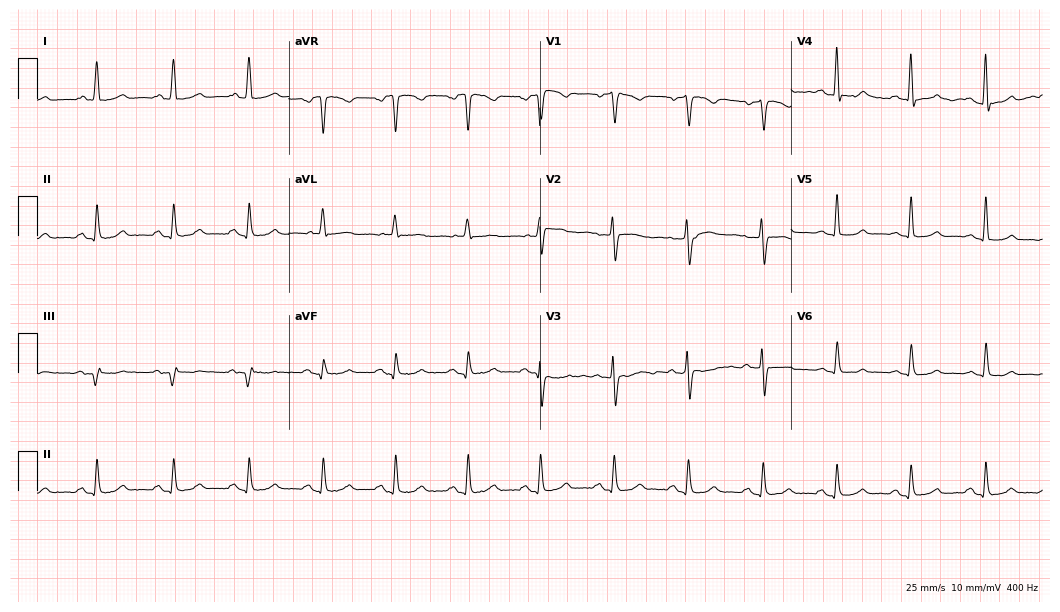
Resting 12-lead electrocardiogram (10.2-second recording at 400 Hz). Patient: a female, 69 years old. Read as a normal ECG.